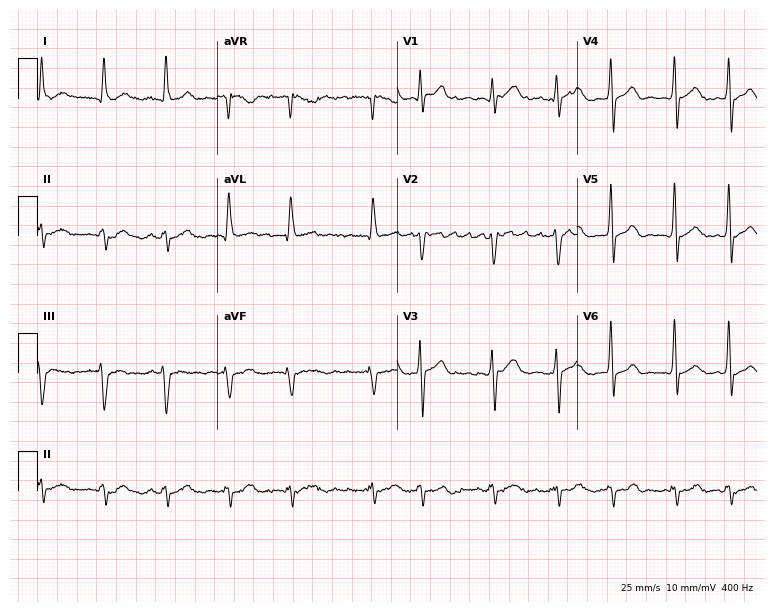
ECG — a 72-year-old man. Findings include atrial fibrillation (AF).